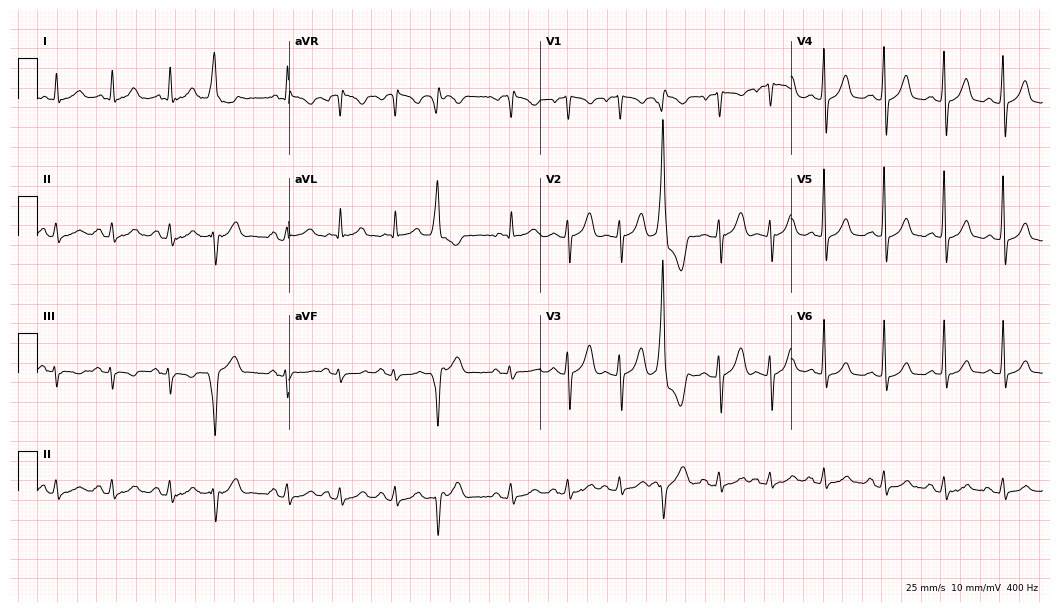
12-lead ECG (10.2-second recording at 400 Hz) from a female patient, 68 years old. Screened for six findings — first-degree AV block, right bundle branch block, left bundle branch block, sinus bradycardia, atrial fibrillation, sinus tachycardia — none is recorded.